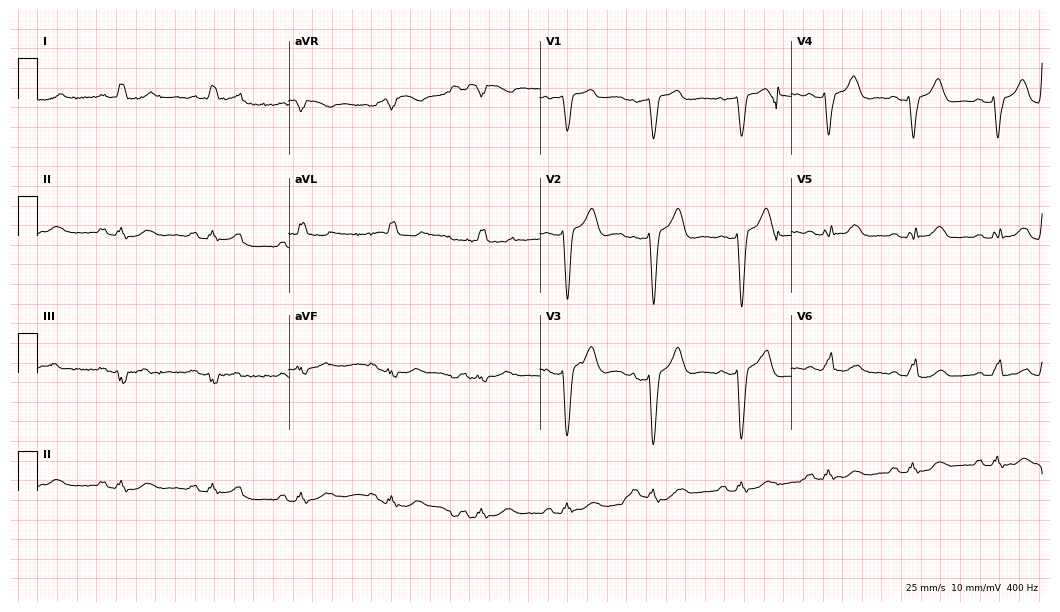
12-lead ECG from a woman, 84 years old (10.2-second recording at 400 Hz). Shows left bundle branch block (LBBB).